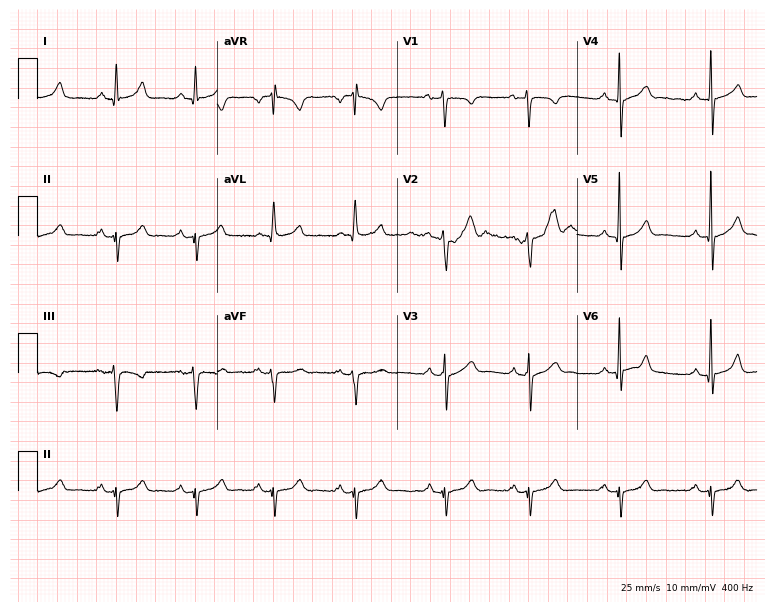
12-lead ECG from a 55-year-old man (7.3-second recording at 400 Hz). No first-degree AV block, right bundle branch block (RBBB), left bundle branch block (LBBB), sinus bradycardia, atrial fibrillation (AF) or sinus tachycardia recorded for this tracing. Findings outside these six are not listed.